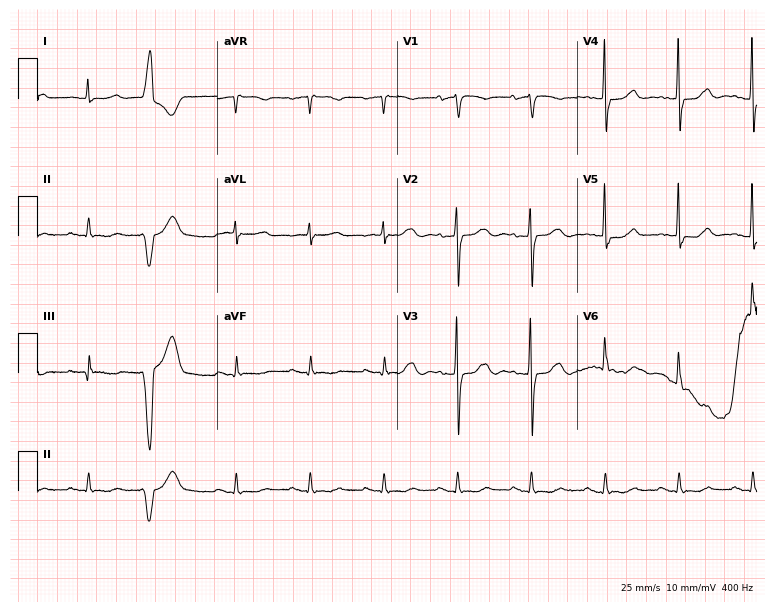
Resting 12-lead electrocardiogram (7.3-second recording at 400 Hz). Patient: a female, 85 years old. None of these six findings is recorded: first-degree AV block, right bundle branch block (RBBB), left bundle branch block (LBBB), sinus bradycardia, atrial fibrillation (AF), sinus tachycardia.